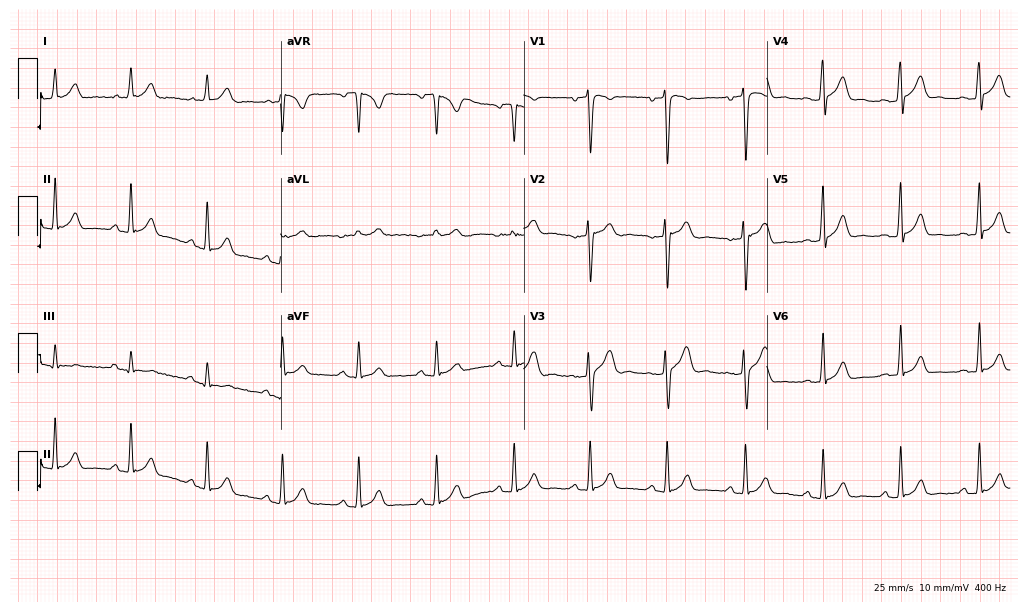
12-lead ECG from a 22-year-old male. Recorded interpretation: within normal limits.